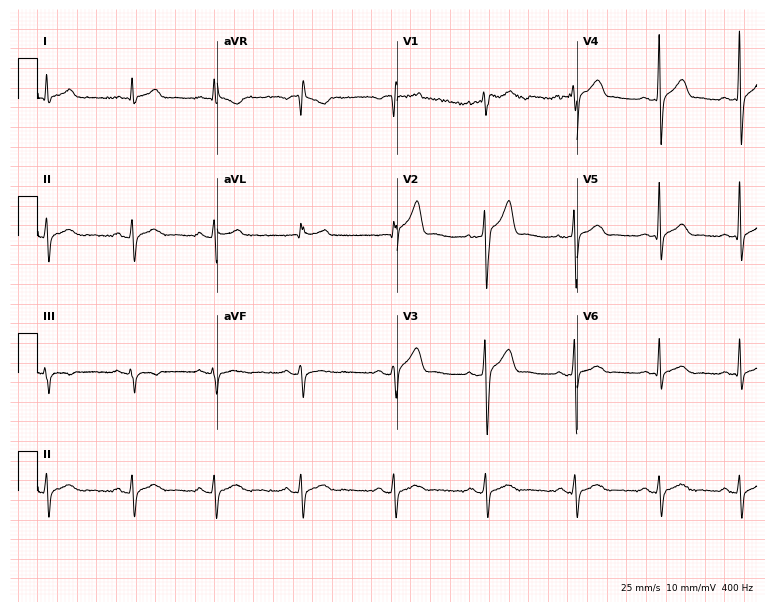
12-lead ECG (7.3-second recording at 400 Hz) from a 35-year-old male patient. Screened for six findings — first-degree AV block, right bundle branch block, left bundle branch block, sinus bradycardia, atrial fibrillation, sinus tachycardia — none is recorded. Findings outside these six are not listed.